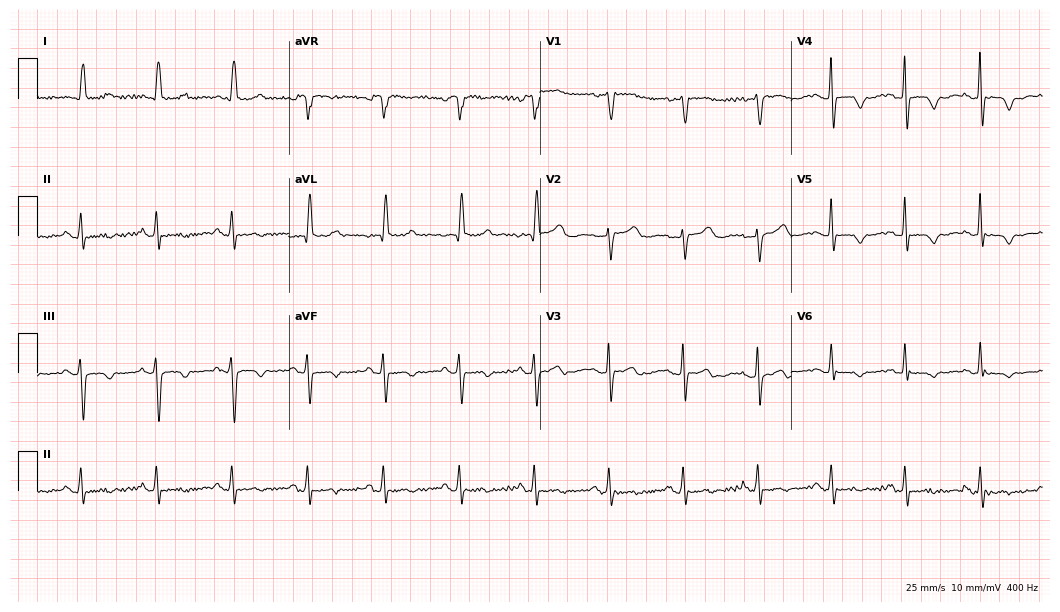
12-lead ECG from a female patient, 76 years old (10.2-second recording at 400 Hz). No first-degree AV block, right bundle branch block, left bundle branch block, sinus bradycardia, atrial fibrillation or sinus tachycardia recorded for this tracing. Only these six findings were labelled.